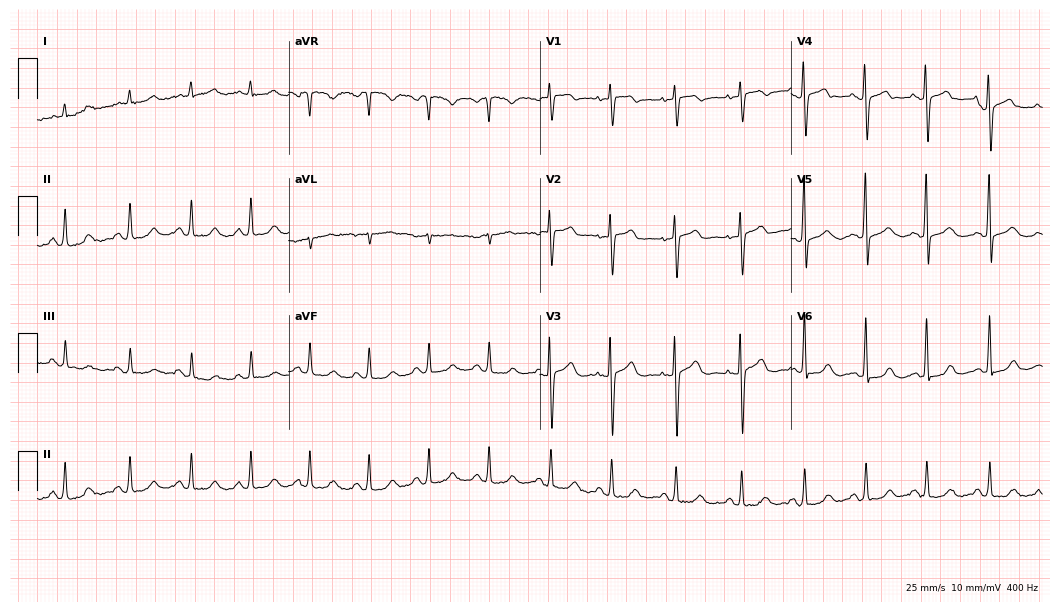
12-lead ECG (10.2-second recording at 400 Hz) from a woman, 84 years old. Screened for six findings — first-degree AV block, right bundle branch block, left bundle branch block, sinus bradycardia, atrial fibrillation, sinus tachycardia — none is recorded.